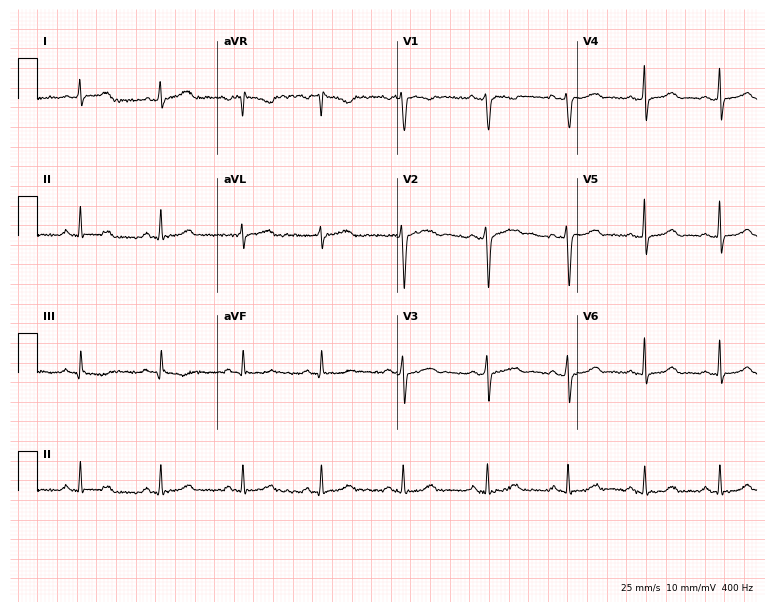
12-lead ECG from a female patient, 30 years old. No first-degree AV block, right bundle branch block (RBBB), left bundle branch block (LBBB), sinus bradycardia, atrial fibrillation (AF) or sinus tachycardia recorded for this tracing.